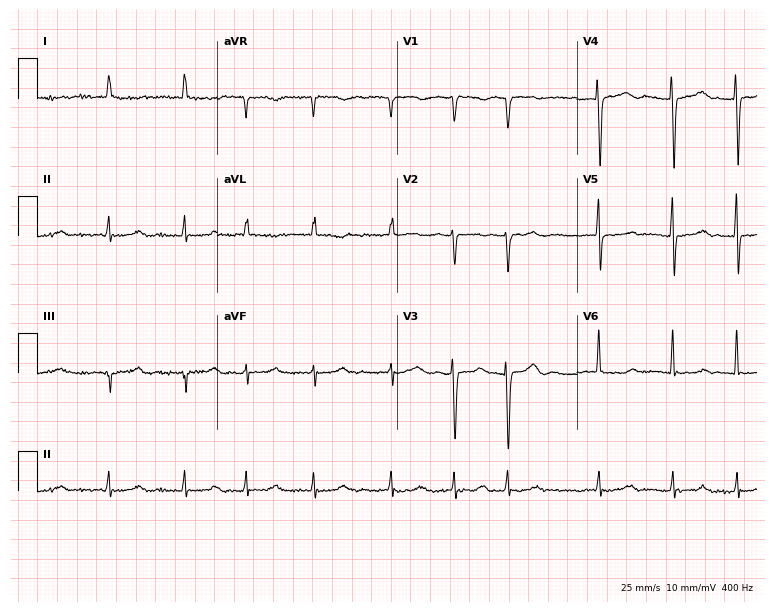
12-lead ECG from a female patient, 74 years old. No first-degree AV block, right bundle branch block, left bundle branch block, sinus bradycardia, atrial fibrillation or sinus tachycardia recorded for this tracing.